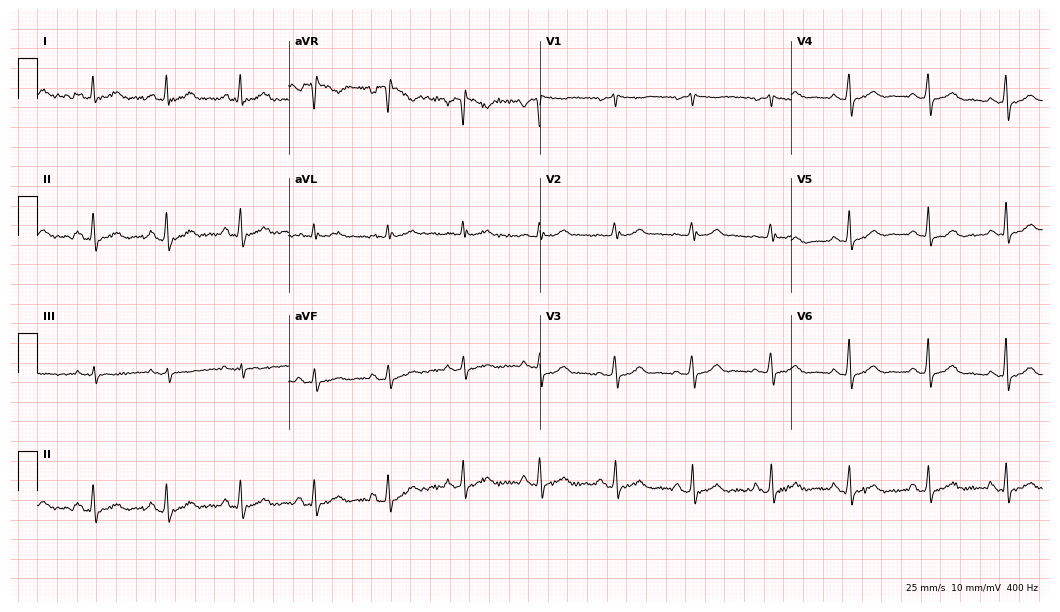
12-lead ECG (10.2-second recording at 400 Hz) from a 61-year-old female. Labelled as a normal ECG.